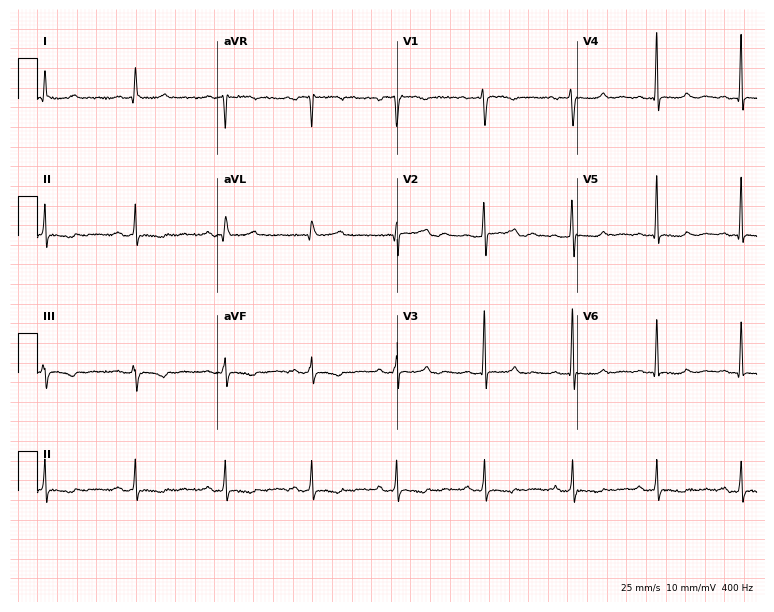
ECG — a 51-year-old woman. Screened for six findings — first-degree AV block, right bundle branch block, left bundle branch block, sinus bradycardia, atrial fibrillation, sinus tachycardia — none is recorded. Only these six findings were labelled.